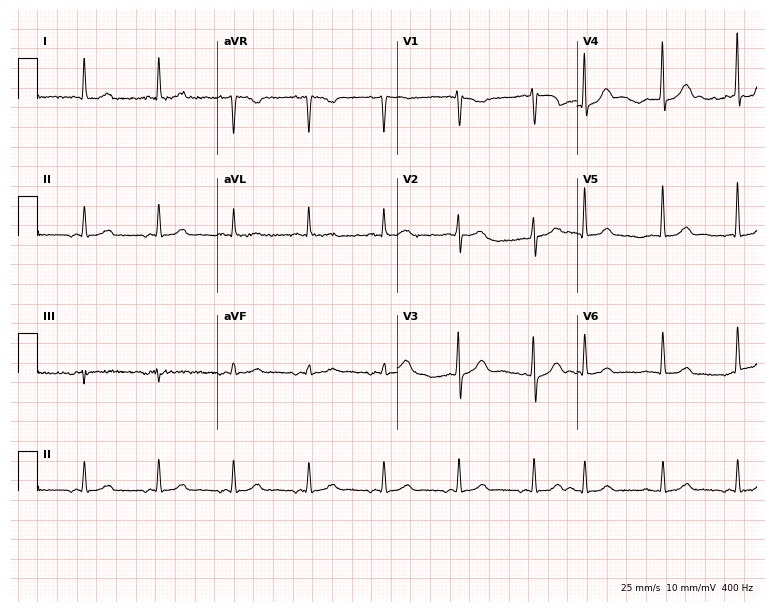
Resting 12-lead electrocardiogram (7.3-second recording at 400 Hz). Patient: a 69-year-old female. None of these six findings is recorded: first-degree AV block, right bundle branch block, left bundle branch block, sinus bradycardia, atrial fibrillation, sinus tachycardia. Findings outside these six are not listed.